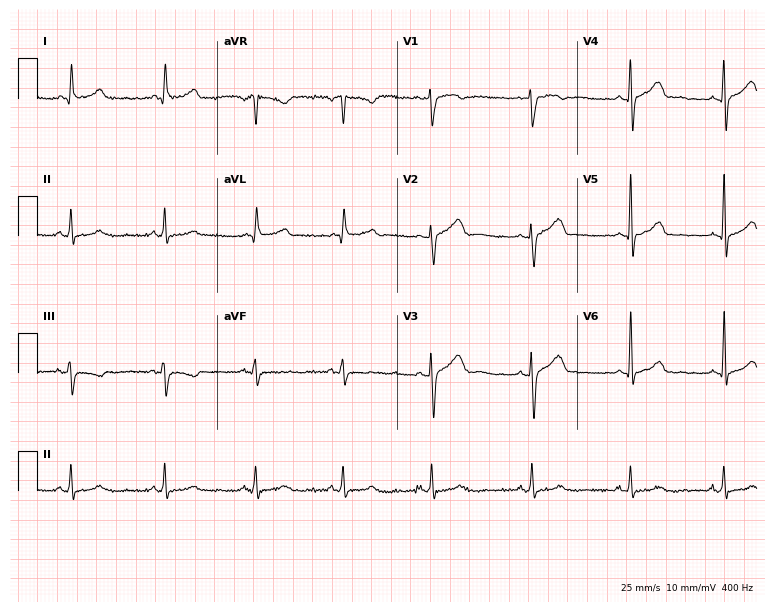
Standard 12-lead ECG recorded from a 38-year-old female (7.3-second recording at 400 Hz). None of these six findings is recorded: first-degree AV block, right bundle branch block, left bundle branch block, sinus bradycardia, atrial fibrillation, sinus tachycardia. Other findings, if any, are not listed.